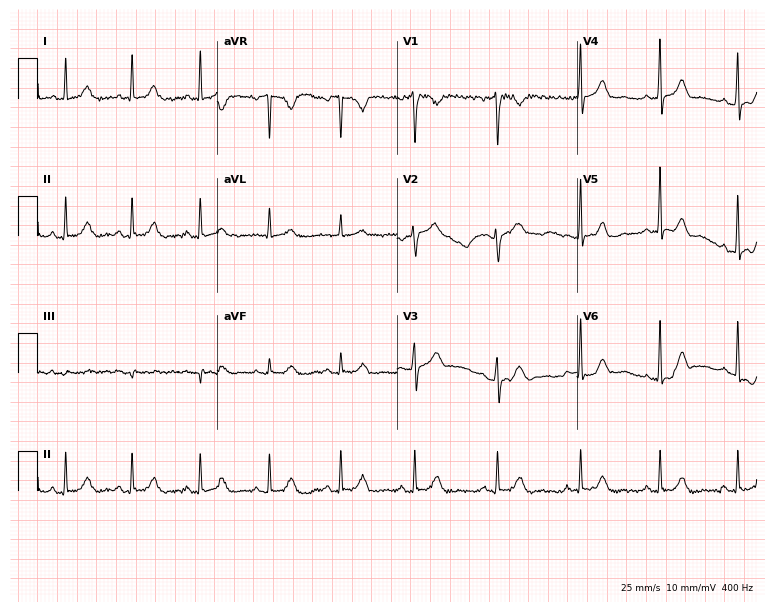
Standard 12-lead ECG recorded from a woman, 33 years old (7.3-second recording at 400 Hz). Read as a normal ECG.